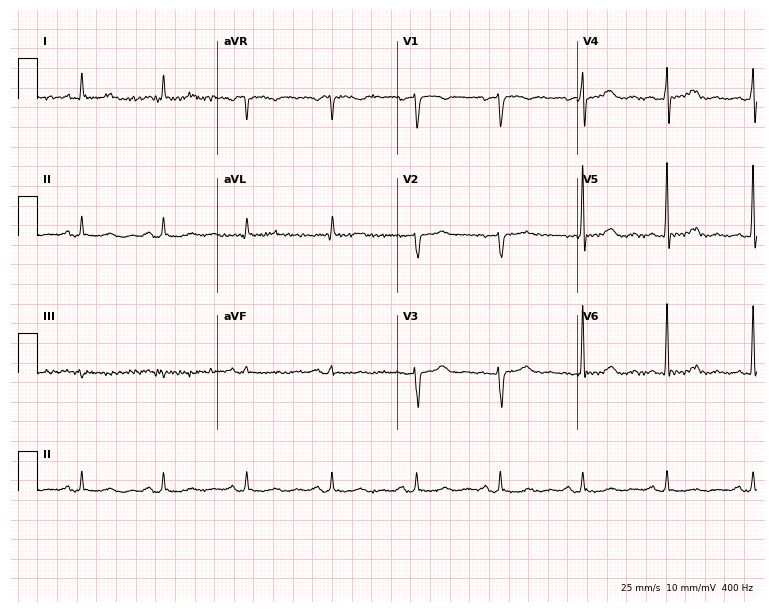
ECG (7.3-second recording at 400 Hz) — a 66-year-old female patient. Labelled as a normal ECG.